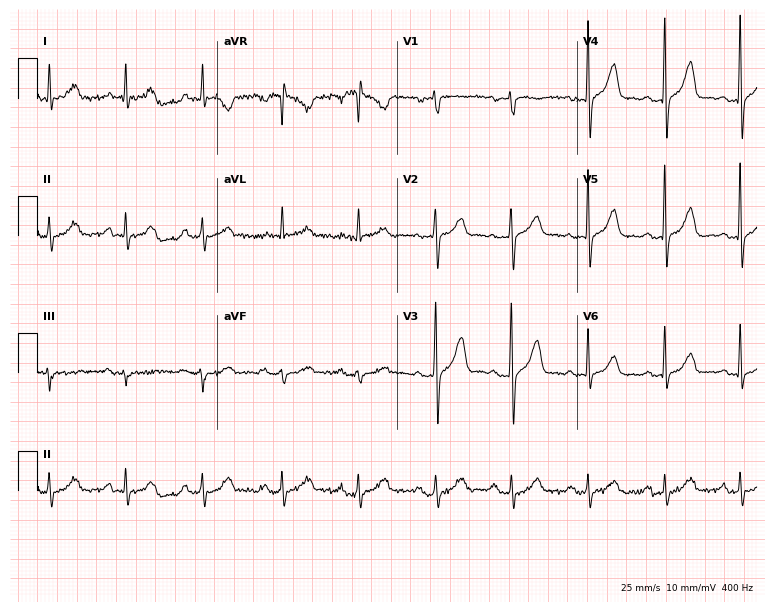
ECG — a 52-year-old woman. Screened for six findings — first-degree AV block, right bundle branch block, left bundle branch block, sinus bradycardia, atrial fibrillation, sinus tachycardia — none is recorded. Other findings, if any, are not listed.